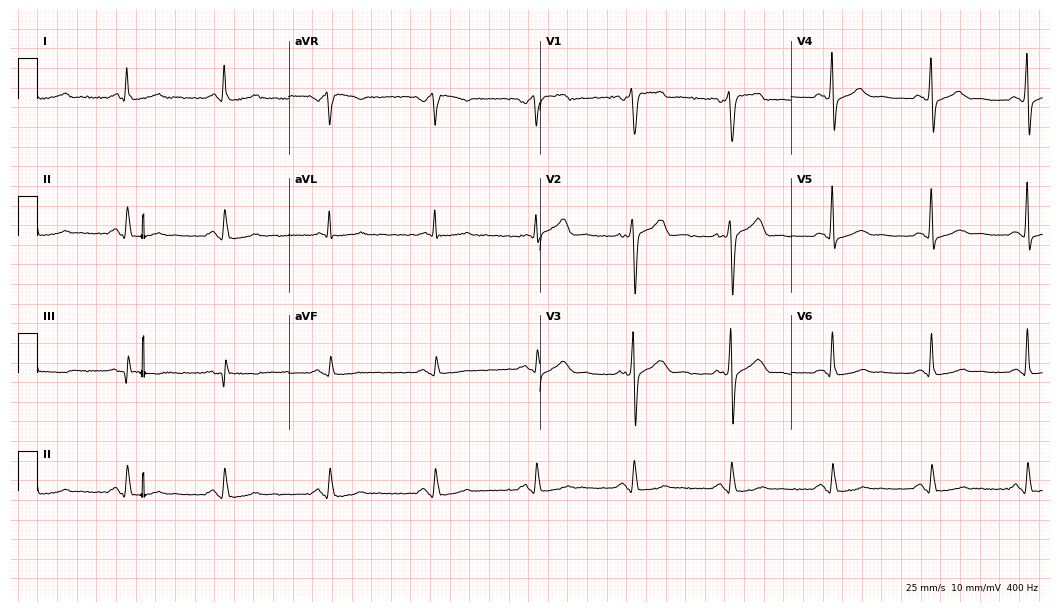
Resting 12-lead electrocardiogram. Patient: a male, 55 years old. Read as a normal ECG.